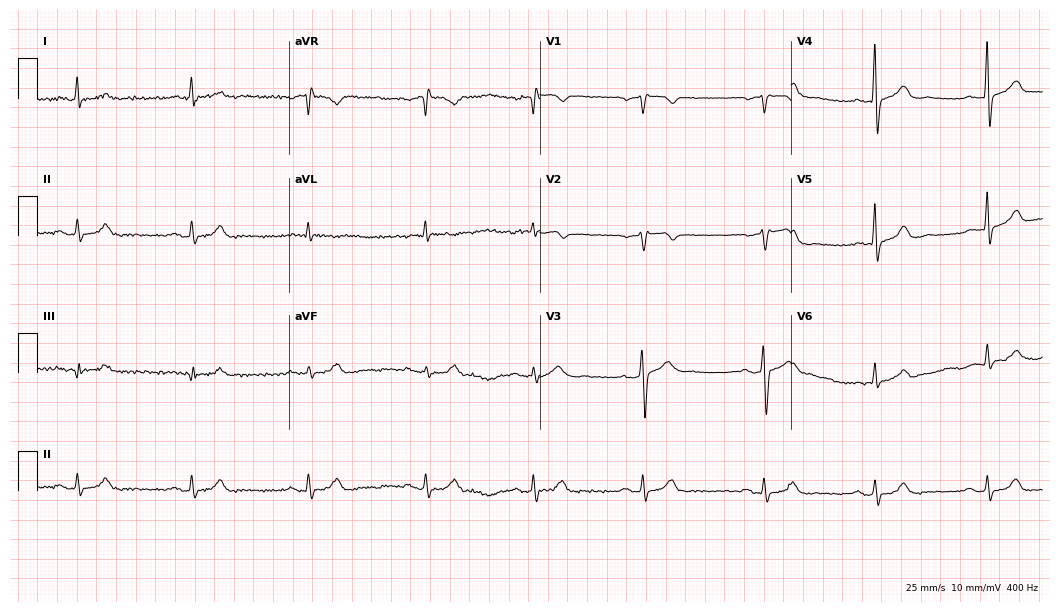
ECG — a 71-year-old male patient. Screened for six findings — first-degree AV block, right bundle branch block, left bundle branch block, sinus bradycardia, atrial fibrillation, sinus tachycardia — none is recorded. Other findings, if any, are not listed.